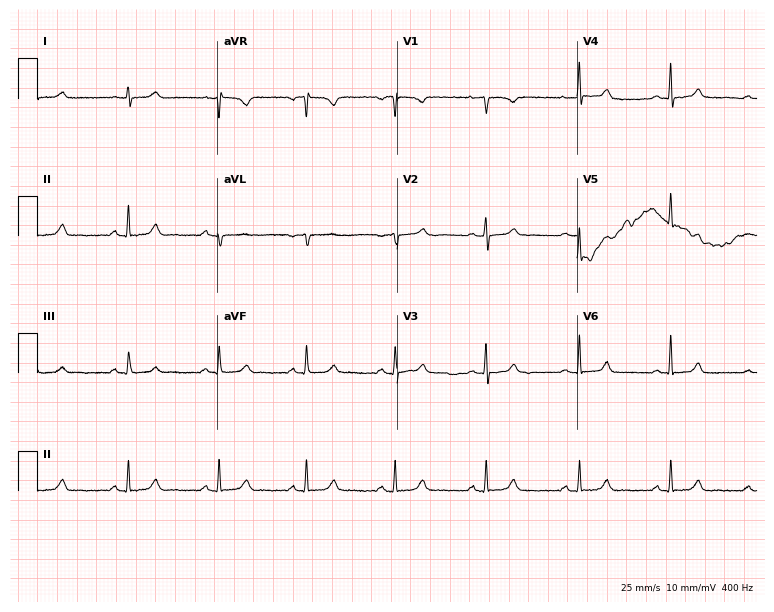
ECG (7.3-second recording at 400 Hz) — a 34-year-old female patient. Labelled as a normal ECG.